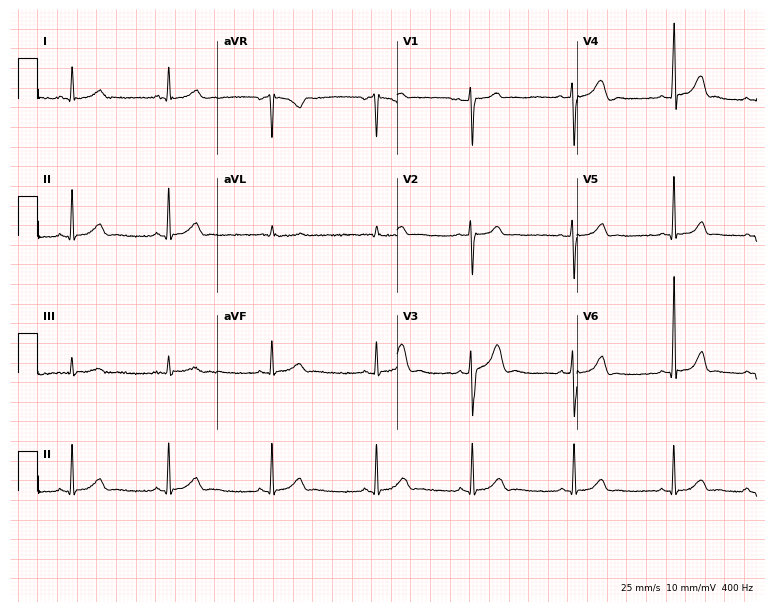
Electrocardiogram (7.3-second recording at 400 Hz), a male patient, 21 years old. Of the six screened findings (first-degree AV block, right bundle branch block, left bundle branch block, sinus bradycardia, atrial fibrillation, sinus tachycardia), none is recorded.